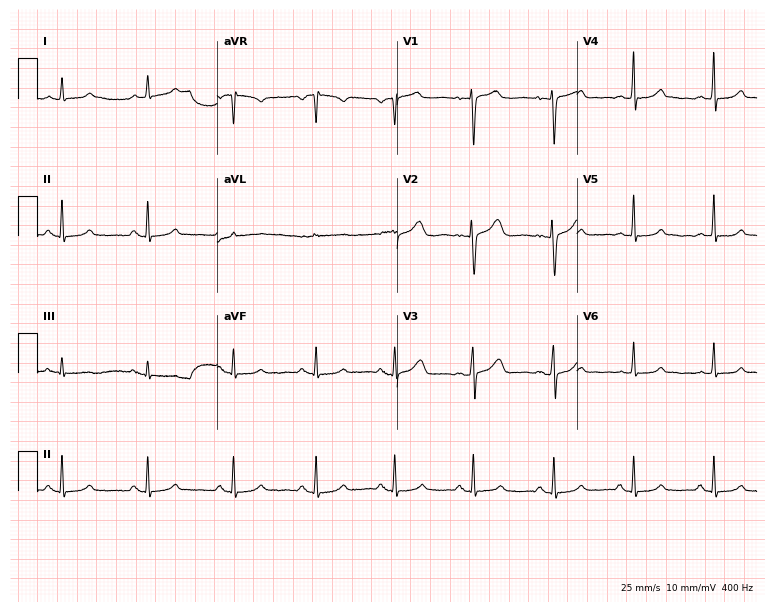
ECG (7.3-second recording at 400 Hz) — a woman, 39 years old. Screened for six findings — first-degree AV block, right bundle branch block, left bundle branch block, sinus bradycardia, atrial fibrillation, sinus tachycardia — none is recorded.